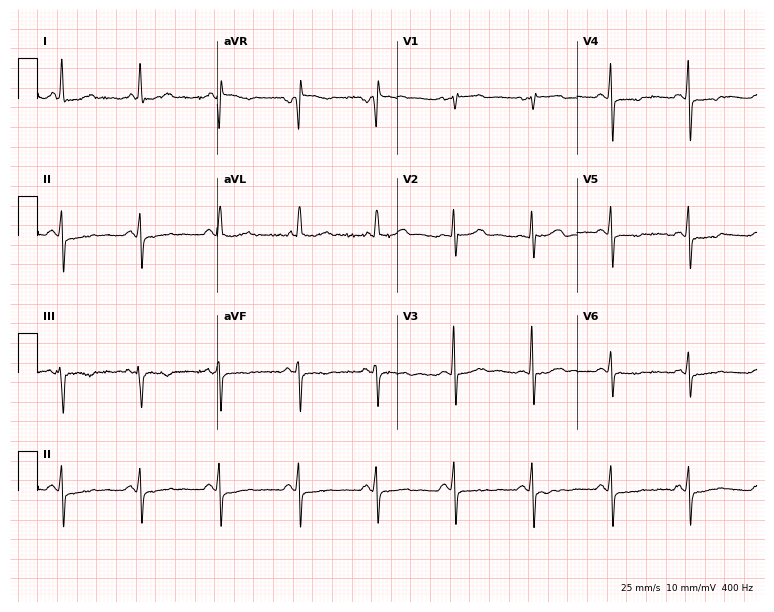
12-lead ECG from a female, 62 years old (7.3-second recording at 400 Hz). No first-degree AV block, right bundle branch block, left bundle branch block, sinus bradycardia, atrial fibrillation or sinus tachycardia recorded for this tracing. Other findings, if any, are not listed.